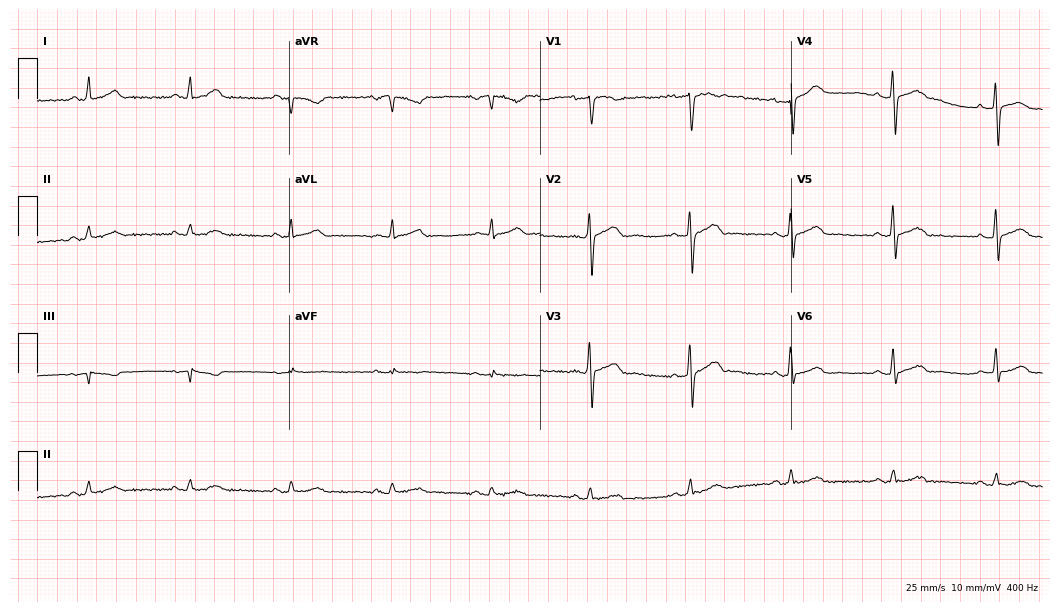
12-lead ECG from a 57-year-old male patient. No first-degree AV block, right bundle branch block, left bundle branch block, sinus bradycardia, atrial fibrillation or sinus tachycardia recorded for this tracing.